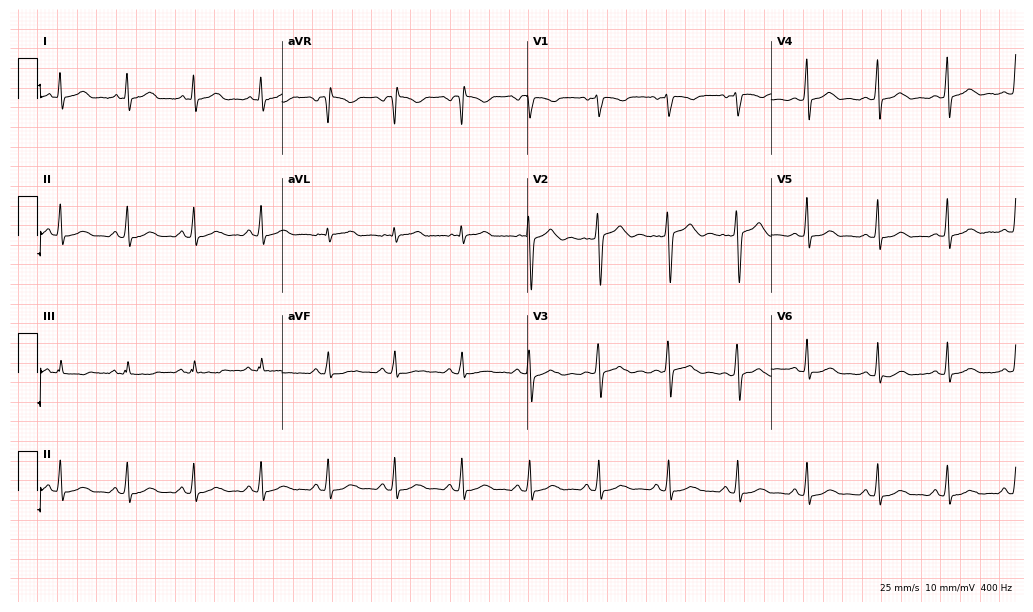
Standard 12-lead ECG recorded from a woman, 36 years old (10-second recording at 400 Hz). Read as a normal ECG.